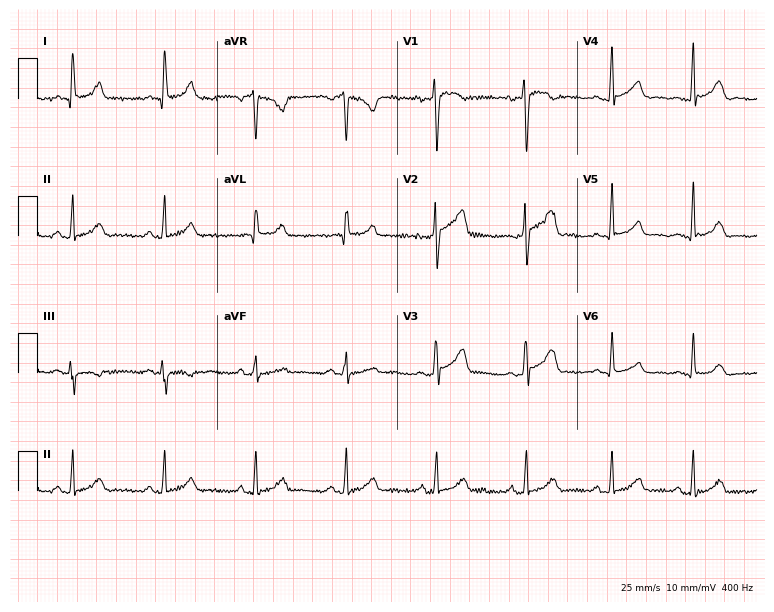
12-lead ECG from a 51-year-old male patient. Recorded interpretation: within normal limits.